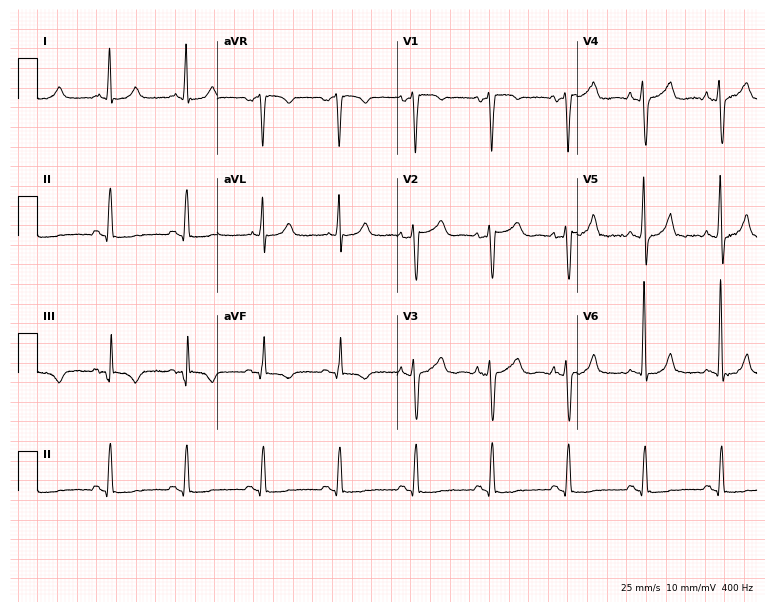
12-lead ECG from a 49-year-old male patient (7.3-second recording at 400 Hz). Recorded interpretation: within normal limits.